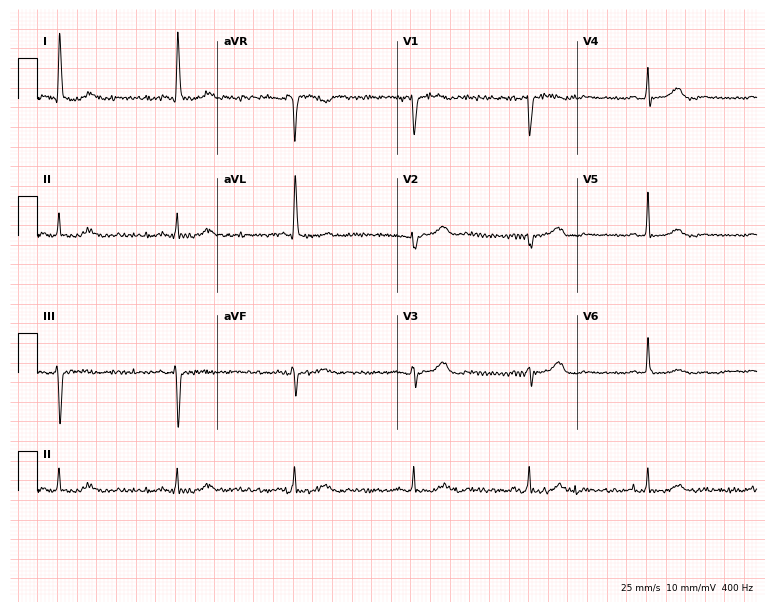
Resting 12-lead electrocardiogram (7.3-second recording at 400 Hz). Patient: an 83-year-old female. None of these six findings is recorded: first-degree AV block, right bundle branch block, left bundle branch block, sinus bradycardia, atrial fibrillation, sinus tachycardia. Other findings, if any, are not listed.